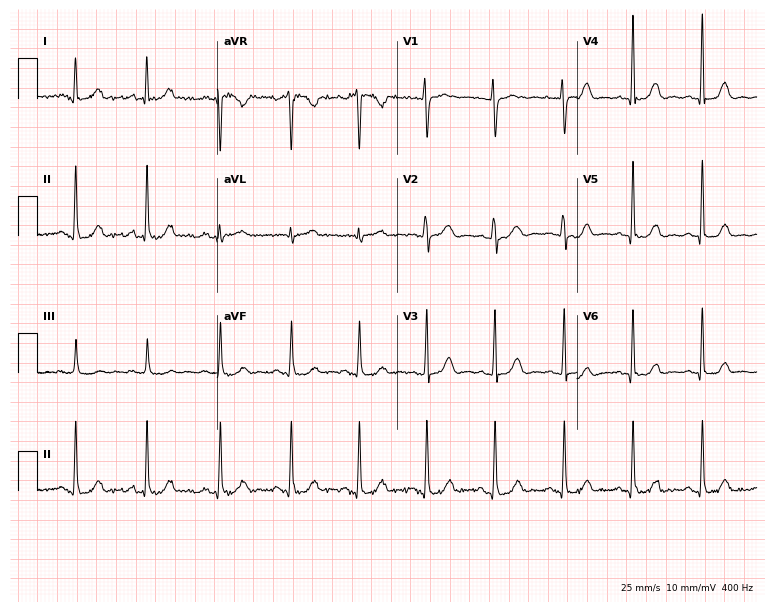
Electrocardiogram, a female patient, 38 years old. Of the six screened findings (first-degree AV block, right bundle branch block (RBBB), left bundle branch block (LBBB), sinus bradycardia, atrial fibrillation (AF), sinus tachycardia), none is recorded.